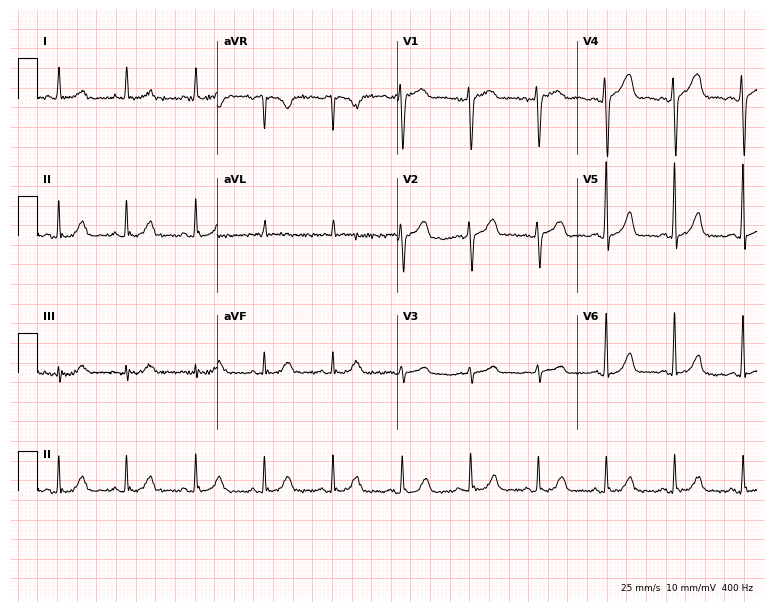
ECG — a woman, 41 years old. Labelled as a normal ECG.